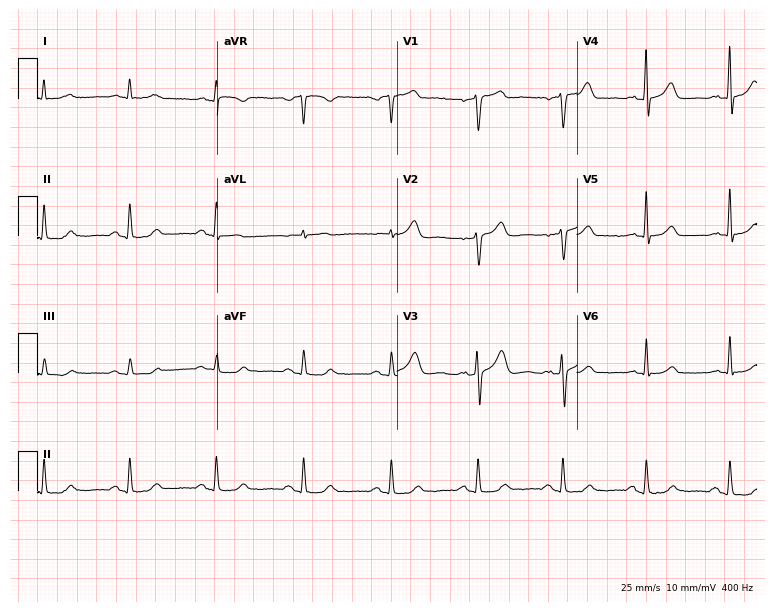
Electrocardiogram (7.3-second recording at 400 Hz), a man, 66 years old. Of the six screened findings (first-degree AV block, right bundle branch block, left bundle branch block, sinus bradycardia, atrial fibrillation, sinus tachycardia), none is recorded. Only these six findings were labelled.